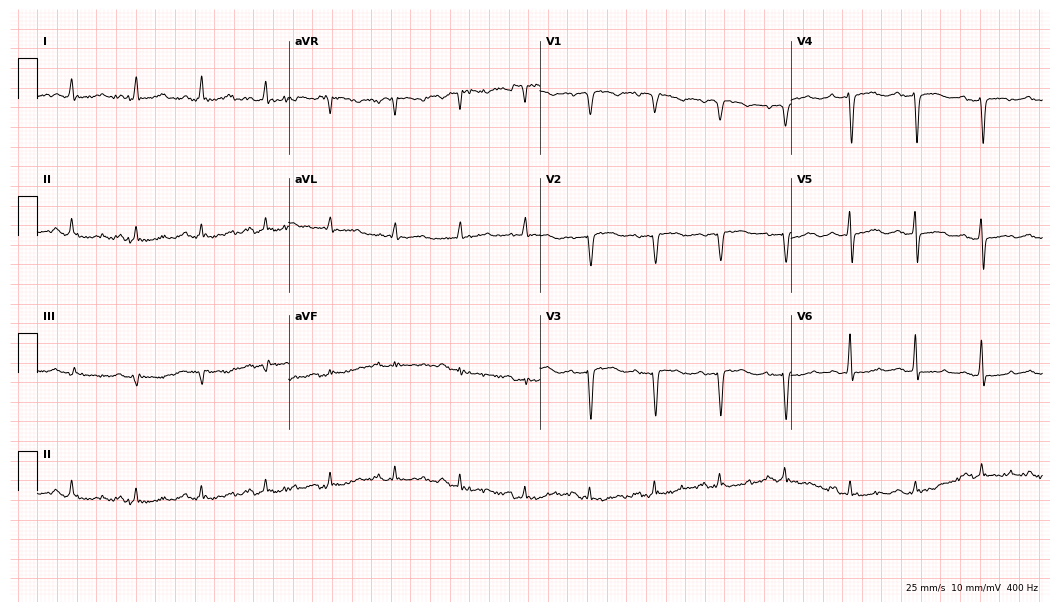
Resting 12-lead electrocardiogram. Patient: a female, 75 years old. None of these six findings is recorded: first-degree AV block, right bundle branch block (RBBB), left bundle branch block (LBBB), sinus bradycardia, atrial fibrillation (AF), sinus tachycardia.